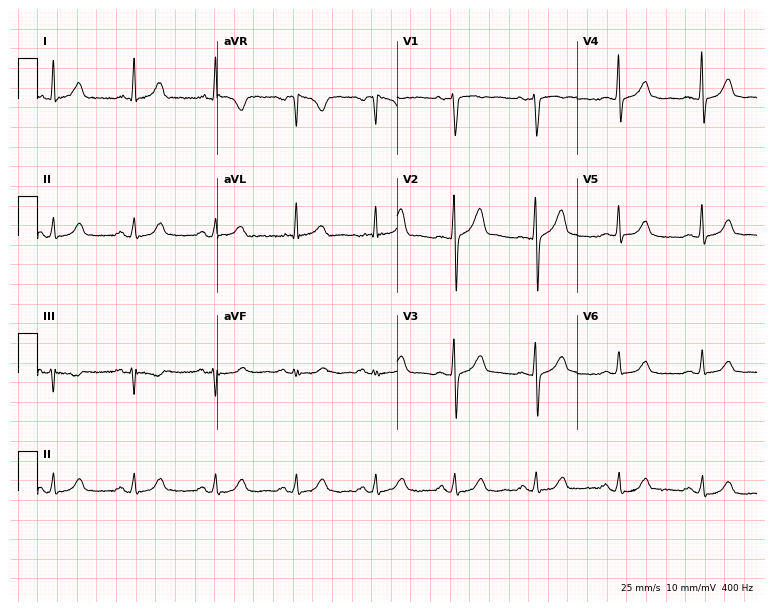
Standard 12-lead ECG recorded from a 68-year-old woman (7.3-second recording at 400 Hz). Read as a normal ECG.